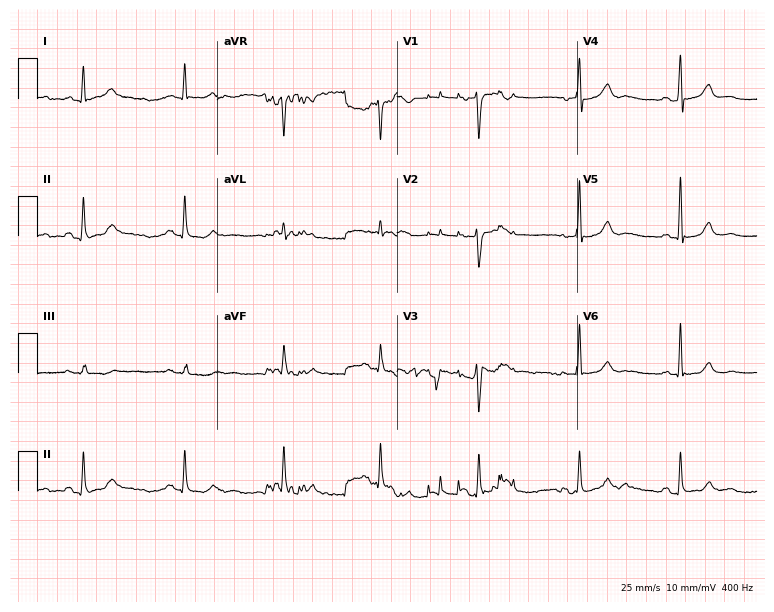
Electrocardiogram (7.3-second recording at 400 Hz), a 55-year-old woman. Overall reading on record: normal ECG.